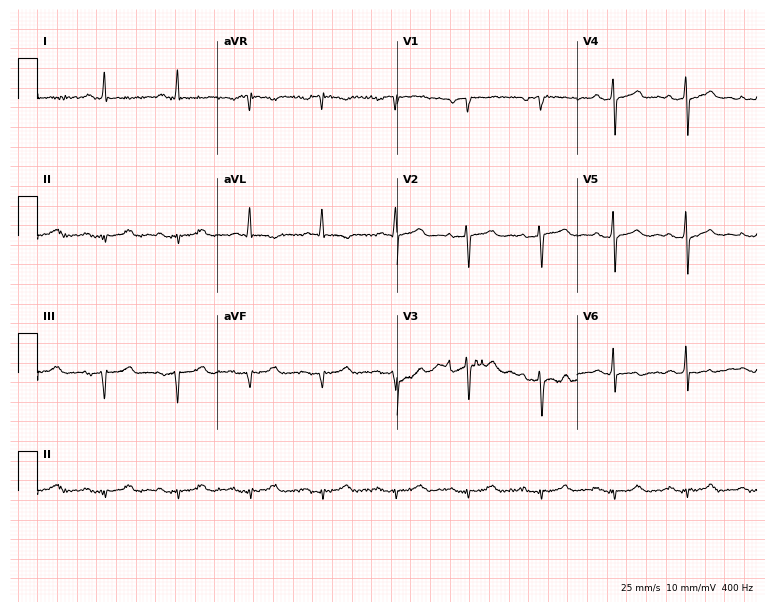
12-lead ECG from a man, 83 years old. Screened for six findings — first-degree AV block, right bundle branch block, left bundle branch block, sinus bradycardia, atrial fibrillation, sinus tachycardia — none is recorded.